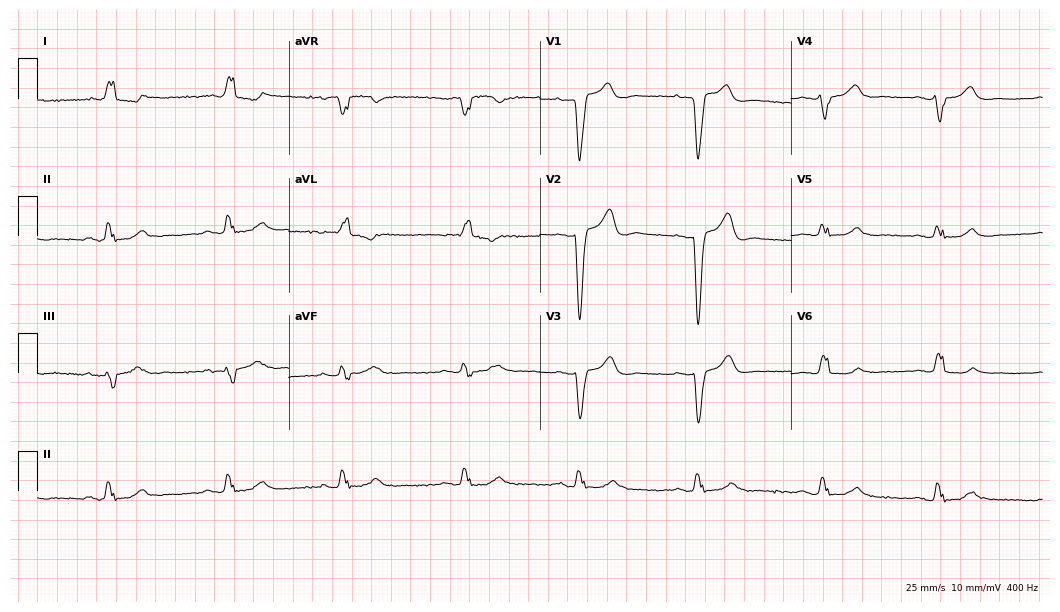
12-lead ECG from an 83-year-old woman. Shows right bundle branch block, left bundle branch block.